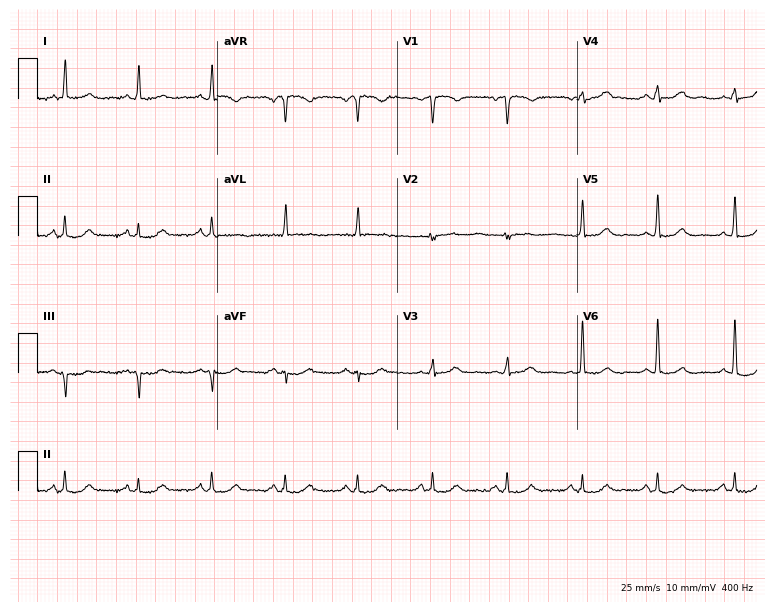
Resting 12-lead electrocardiogram. Patient: a female, 75 years old. None of these six findings is recorded: first-degree AV block, right bundle branch block, left bundle branch block, sinus bradycardia, atrial fibrillation, sinus tachycardia.